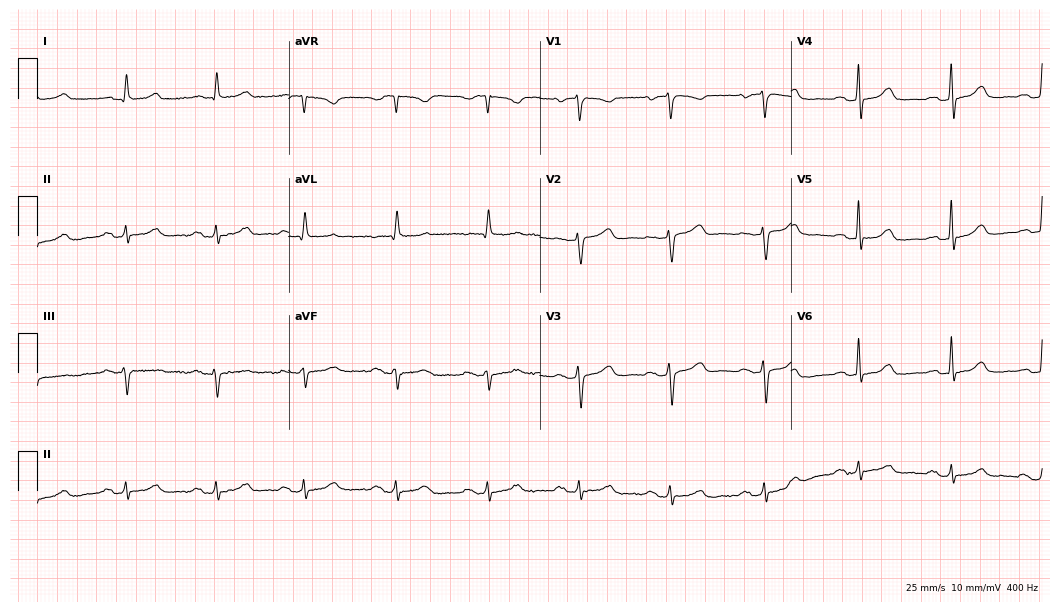
12-lead ECG from a 79-year-old female (10.2-second recording at 400 Hz). Recorded interpretation: within normal limits.